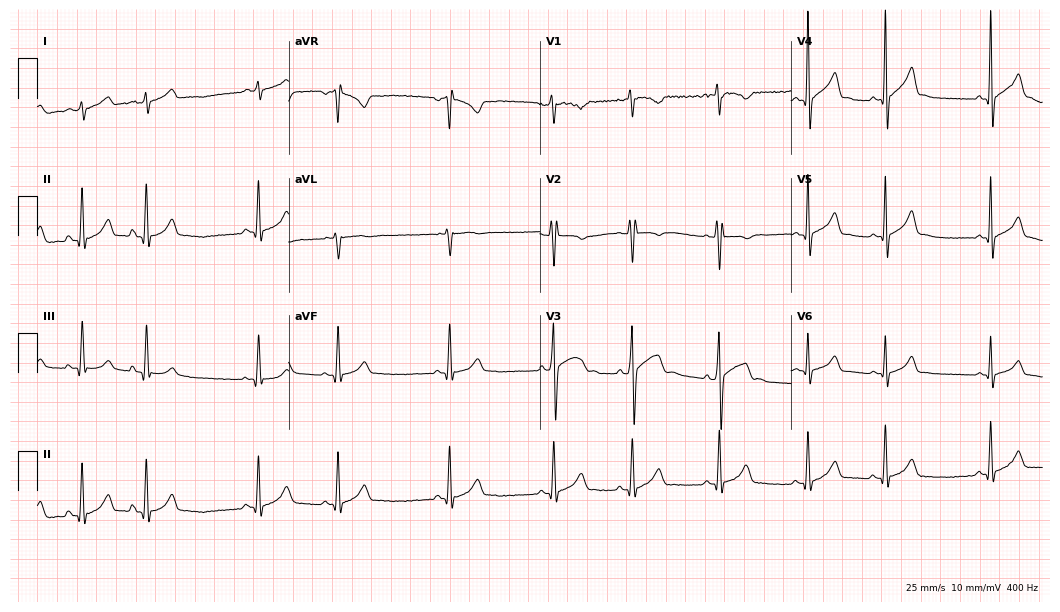
Standard 12-lead ECG recorded from a male, 18 years old. Read as a normal ECG.